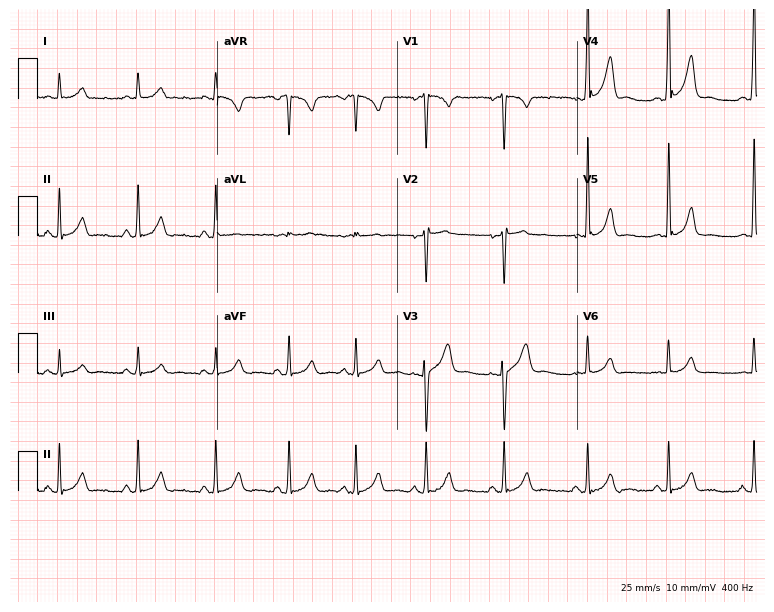
Standard 12-lead ECG recorded from a man, 34 years old. None of these six findings is recorded: first-degree AV block, right bundle branch block, left bundle branch block, sinus bradycardia, atrial fibrillation, sinus tachycardia.